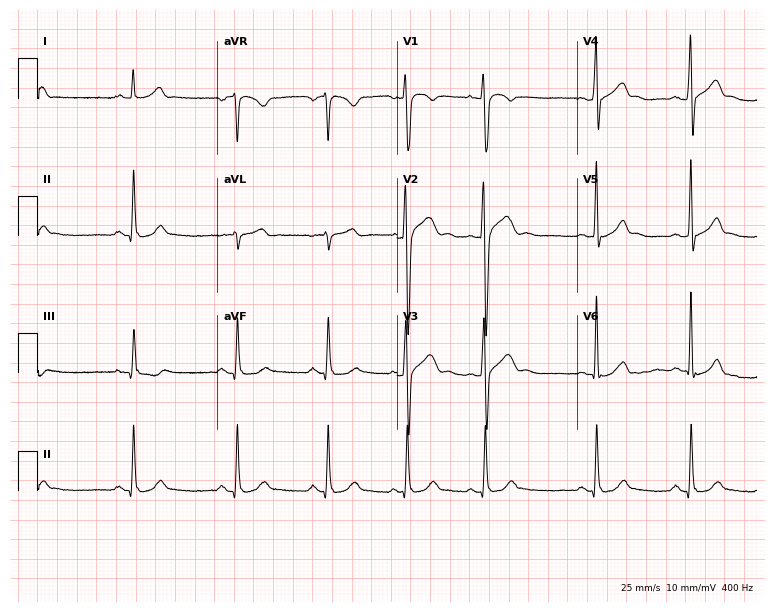
12-lead ECG from a 27-year-old man (7.3-second recording at 400 Hz). No first-degree AV block, right bundle branch block, left bundle branch block, sinus bradycardia, atrial fibrillation or sinus tachycardia recorded for this tracing. Other findings, if any, are not listed.